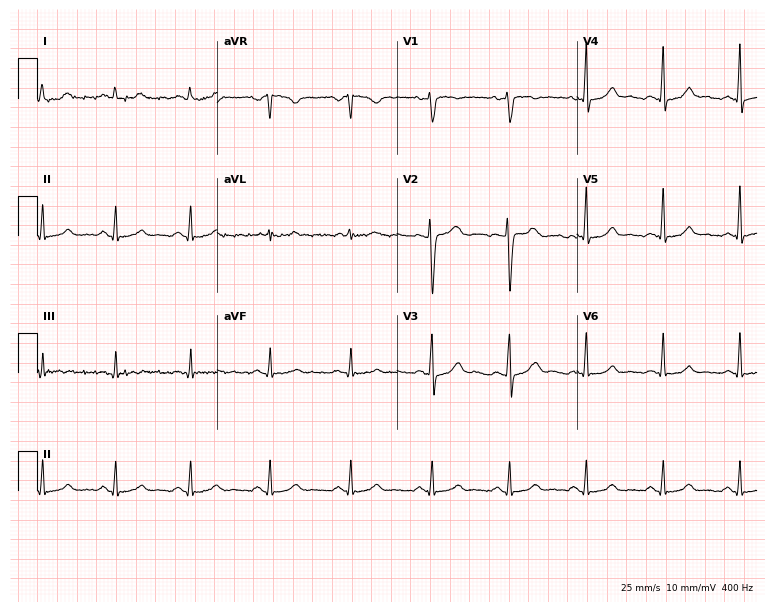
ECG — a female, 43 years old. Screened for six findings — first-degree AV block, right bundle branch block (RBBB), left bundle branch block (LBBB), sinus bradycardia, atrial fibrillation (AF), sinus tachycardia — none is recorded. Findings outside these six are not listed.